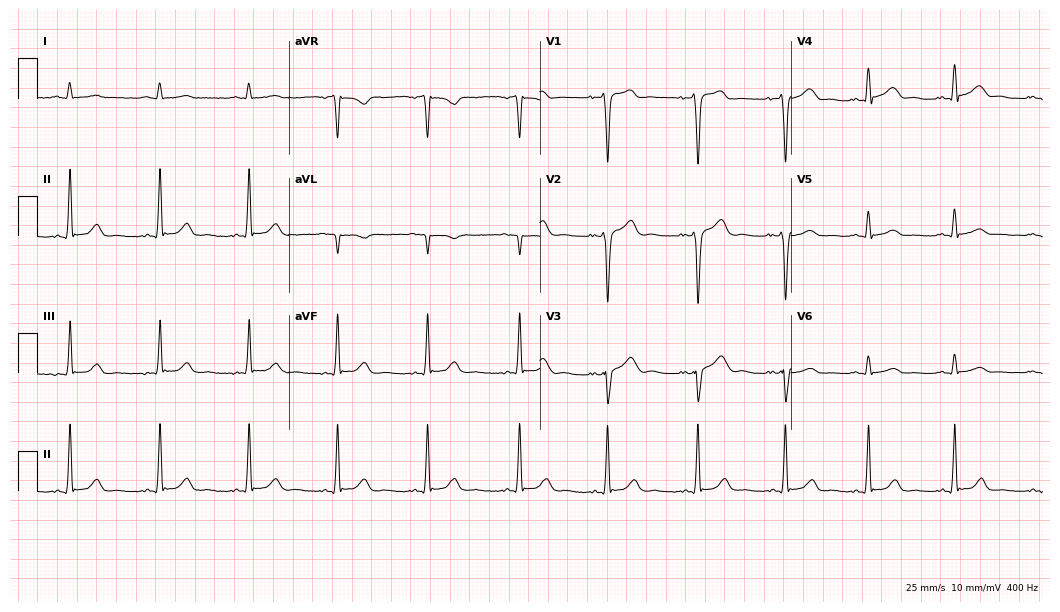
12-lead ECG from a 38-year-old male patient (10.2-second recording at 400 Hz). Recorded interpretation: within normal limits.